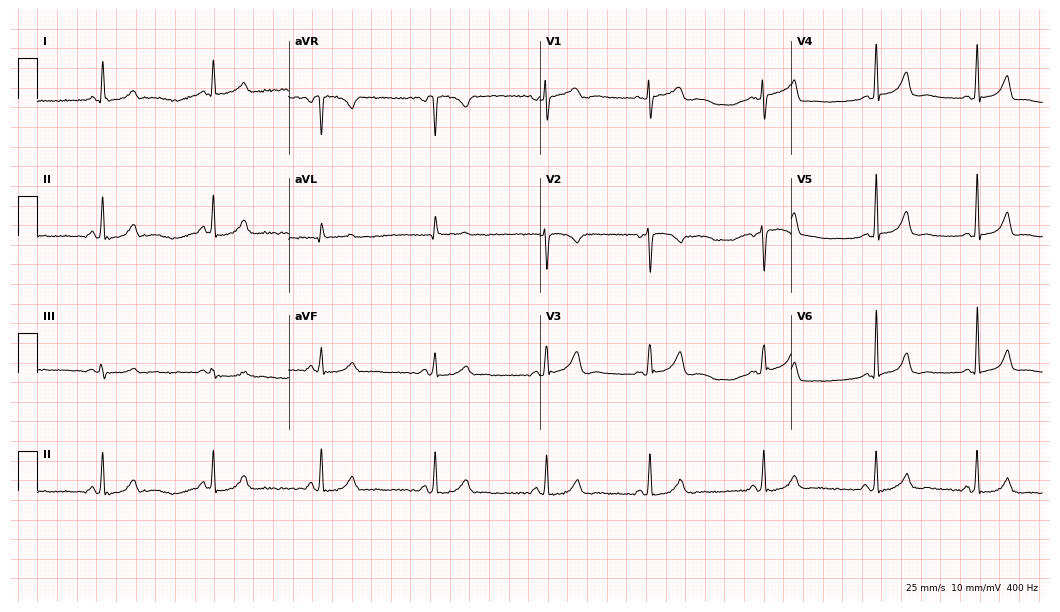
Standard 12-lead ECG recorded from a 33-year-old female. Read as a normal ECG.